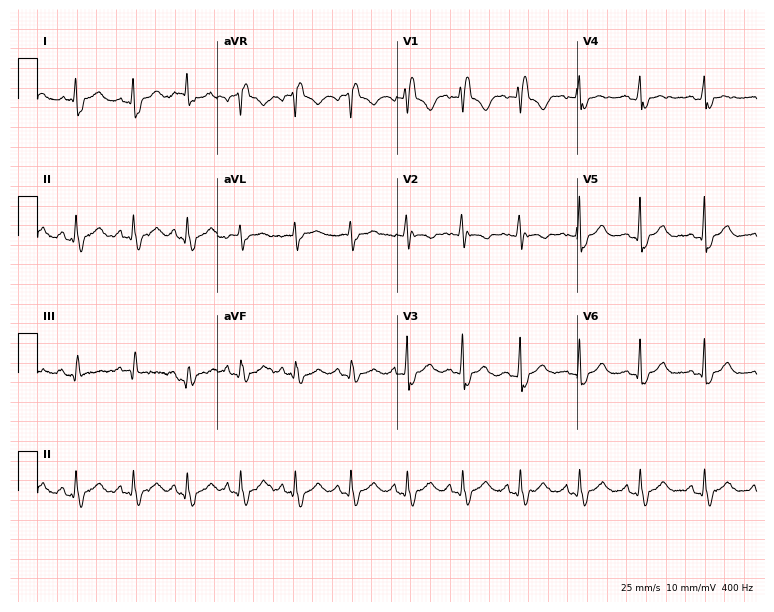
12-lead ECG from a female, 42 years old. Findings include right bundle branch block.